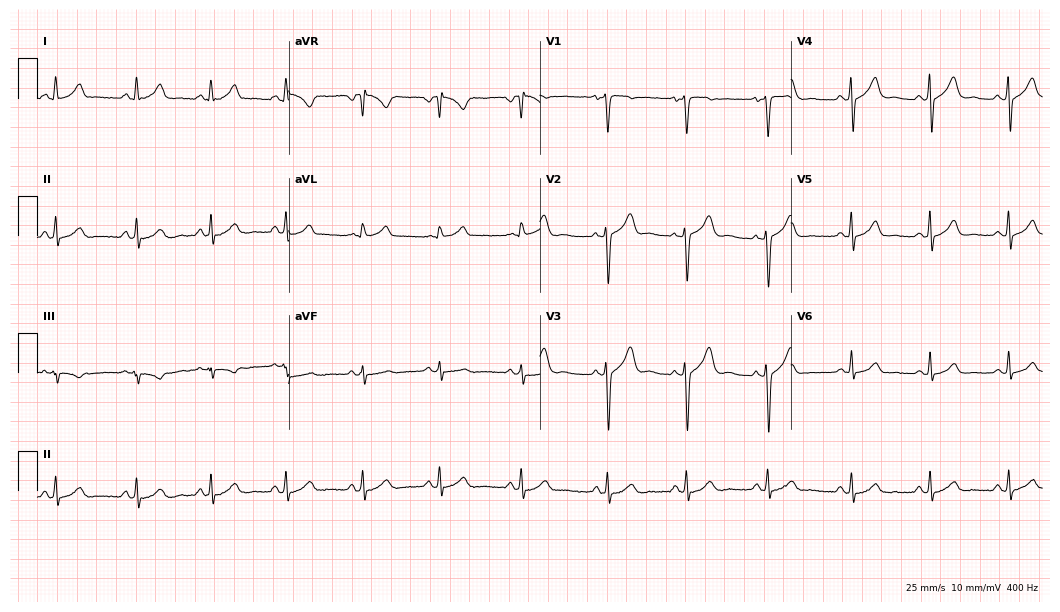
12-lead ECG (10.2-second recording at 400 Hz) from a female, 34 years old. Screened for six findings — first-degree AV block, right bundle branch block, left bundle branch block, sinus bradycardia, atrial fibrillation, sinus tachycardia — none is recorded.